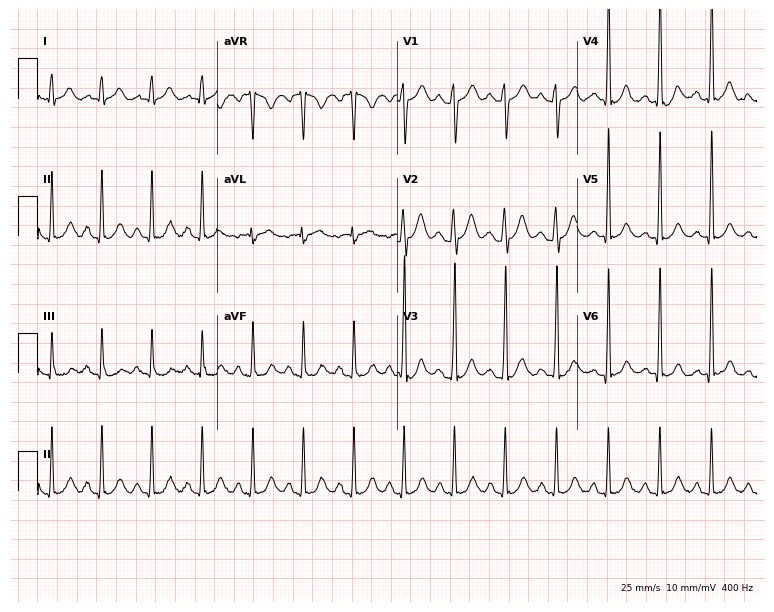
12-lead ECG from a male, 21 years old. Shows sinus tachycardia (a sinus rate of 100 beats per minute or more).